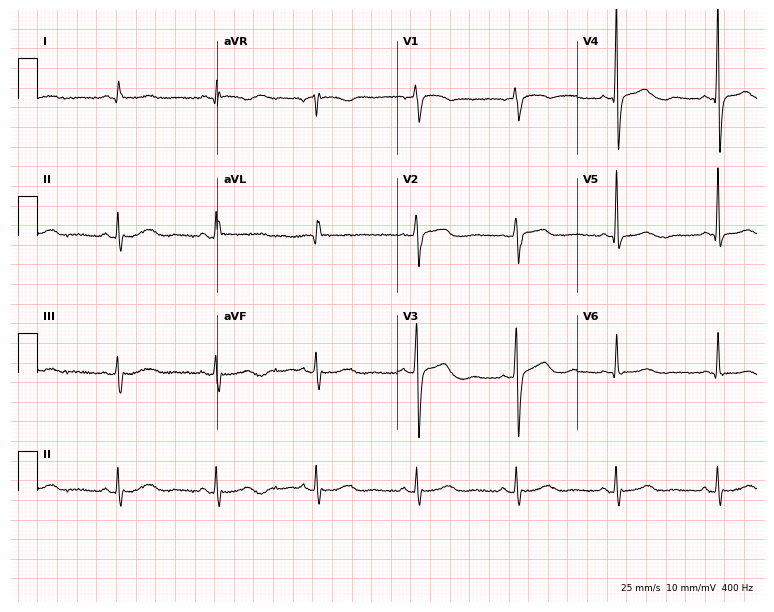
Electrocardiogram (7.3-second recording at 400 Hz), a 78-year-old male. Of the six screened findings (first-degree AV block, right bundle branch block, left bundle branch block, sinus bradycardia, atrial fibrillation, sinus tachycardia), none is recorded. Other findings, if any, are not listed.